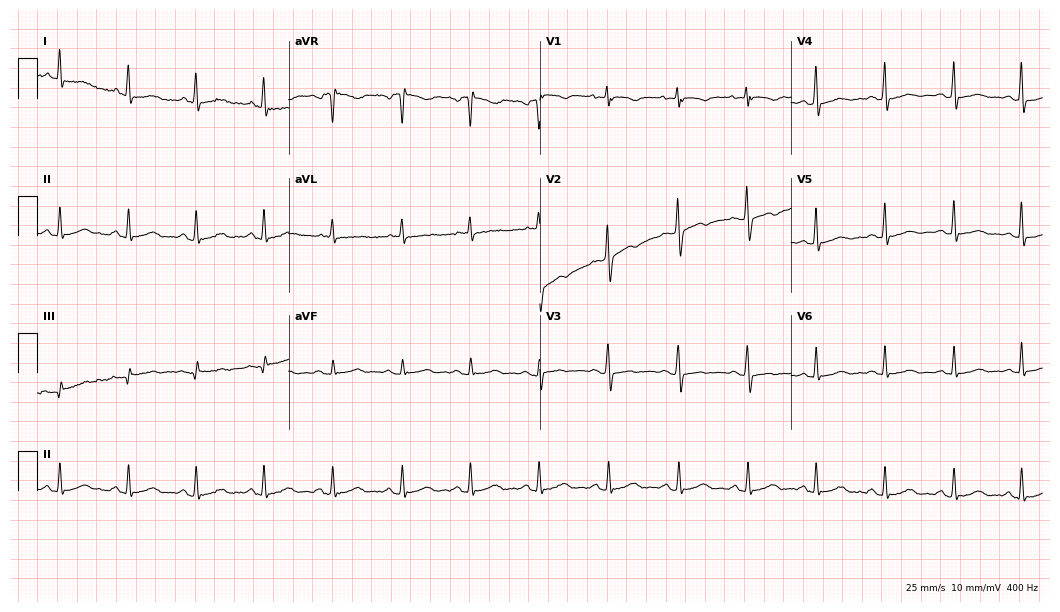
Electrocardiogram, a 58-year-old female patient. Of the six screened findings (first-degree AV block, right bundle branch block, left bundle branch block, sinus bradycardia, atrial fibrillation, sinus tachycardia), none is recorded. Other findings, if any, are not listed.